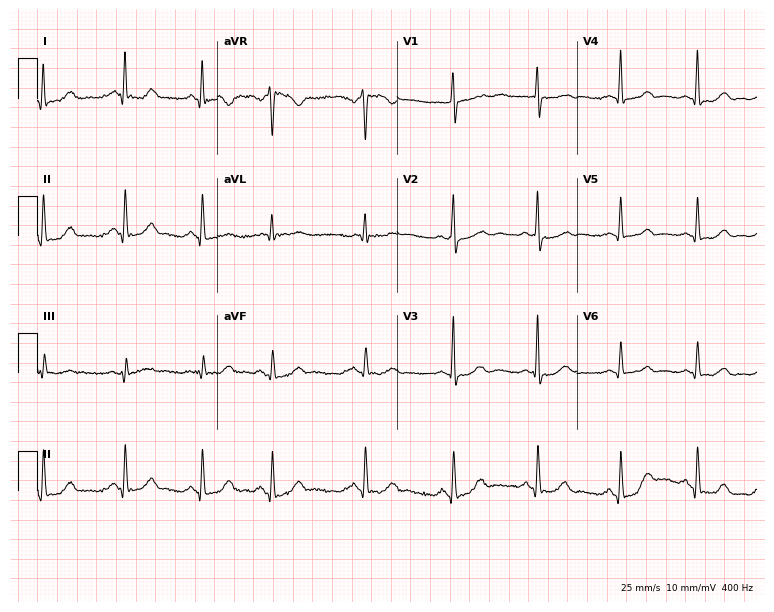
Resting 12-lead electrocardiogram. Patient: a 48-year-old woman. None of these six findings is recorded: first-degree AV block, right bundle branch block (RBBB), left bundle branch block (LBBB), sinus bradycardia, atrial fibrillation (AF), sinus tachycardia. Other findings, if any, are not listed.